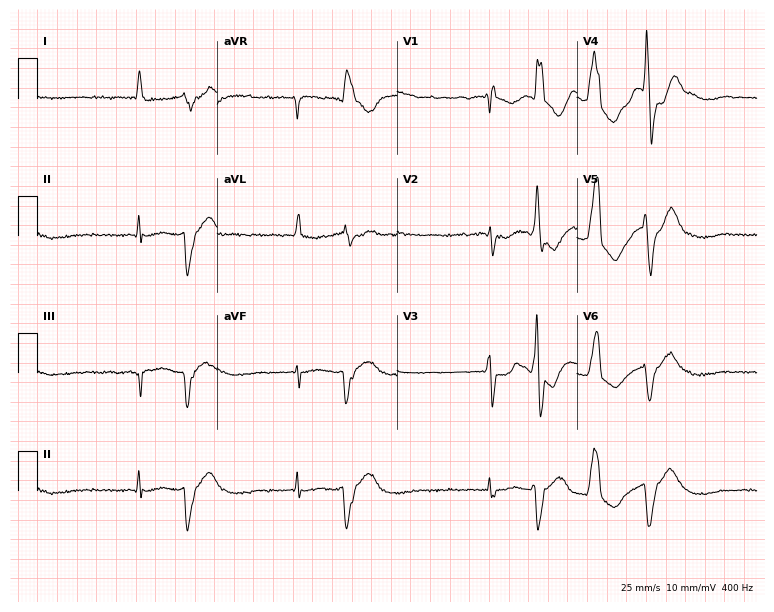
Standard 12-lead ECG recorded from a male patient, 84 years old. The tracing shows atrial fibrillation.